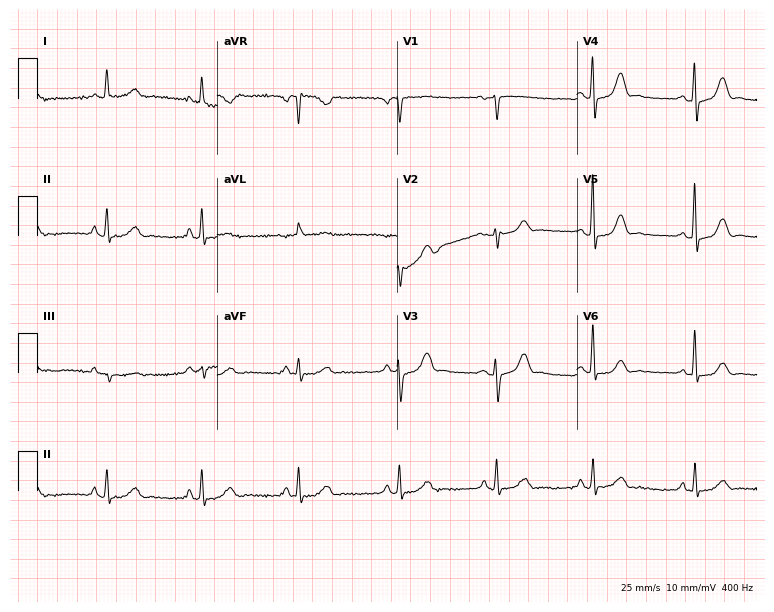
ECG (7.3-second recording at 400 Hz) — a female, 79 years old. Screened for six findings — first-degree AV block, right bundle branch block, left bundle branch block, sinus bradycardia, atrial fibrillation, sinus tachycardia — none is recorded.